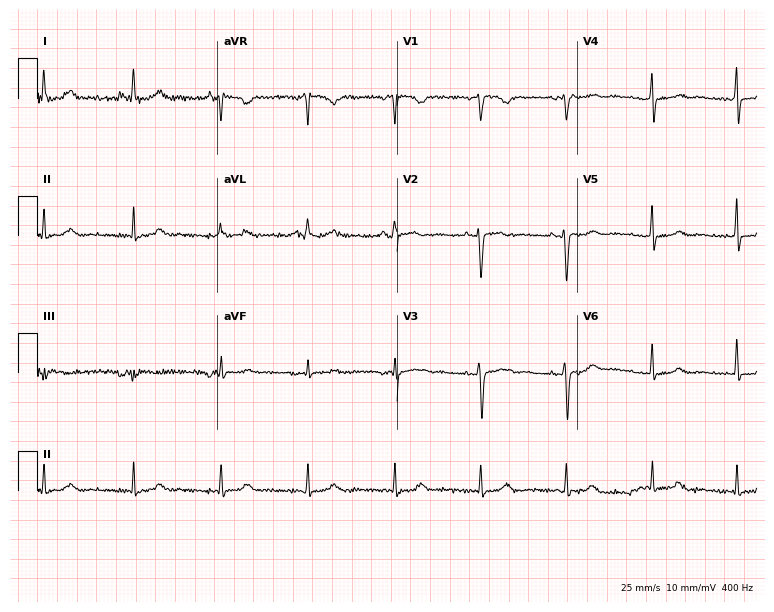
Standard 12-lead ECG recorded from a 45-year-old woman (7.3-second recording at 400 Hz). None of these six findings is recorded: first-degree AV block, right bundle branch block, left bundle branch block, sinus bradycardia, atrial fibrillation, sinus tachycardia. Other findings, if any, are not listed.